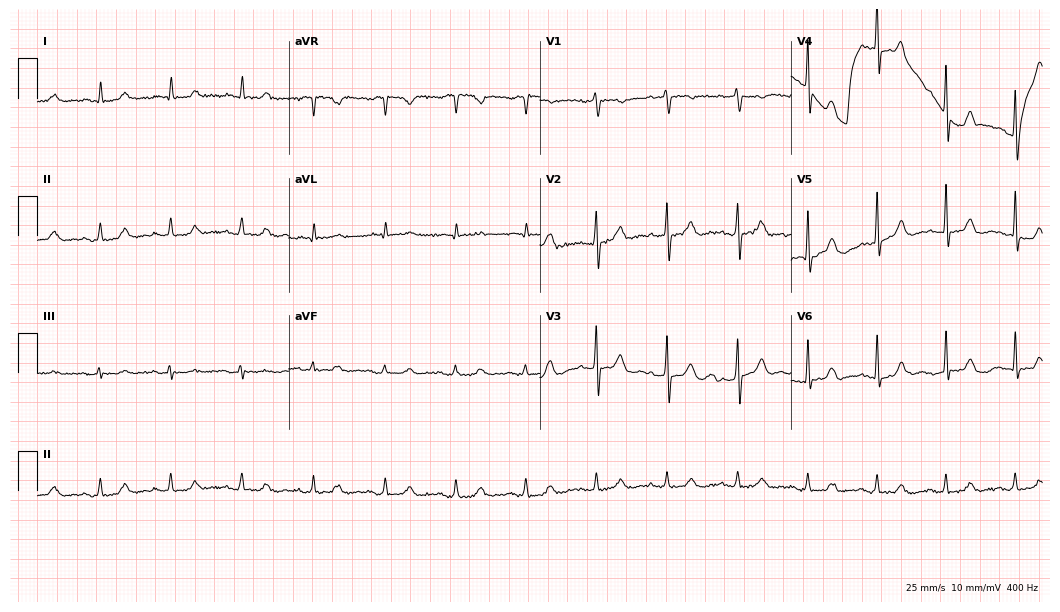
Standard 12-lead ECG recorded from an 85-year-old male (10.2-second recording at 400 Hz). None of these six findings is recorded: first-degree AV block, right bundle branch block, left bundle branch block, sinus bradycardia, atrial fibrillation, sinus tachycardia.